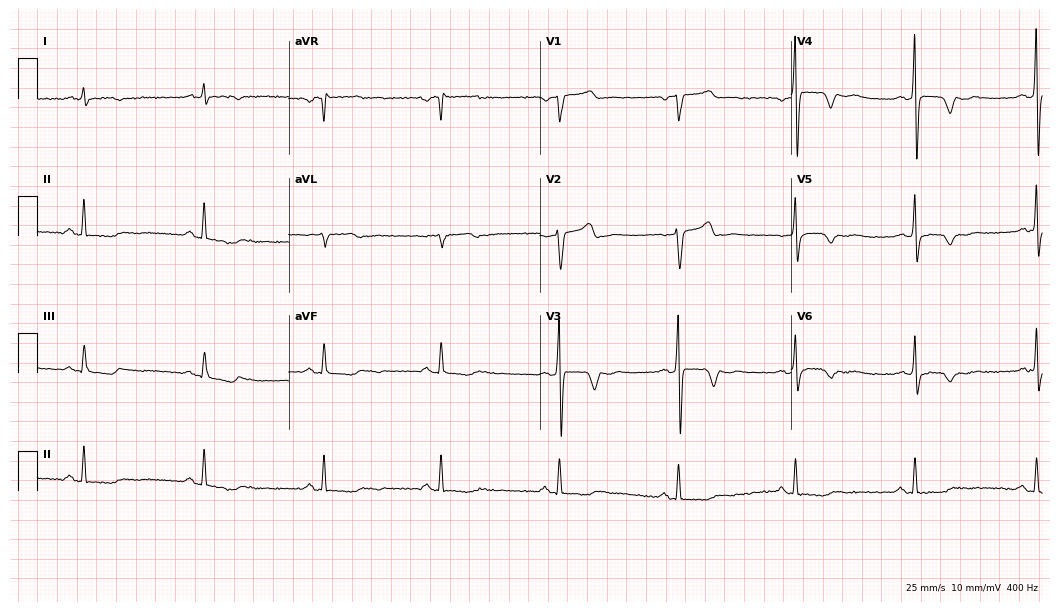
12-lead ECG (10.2-second recording at 400 Hz) from a male patient, 61 years old. Screened for six findings — first-degree AV block, right bundle branch block, left bundle branch block, sinus bradycardia, atrial fibrillation, sinus tachycardia — none is recorded. Findings outside these six are not listed.